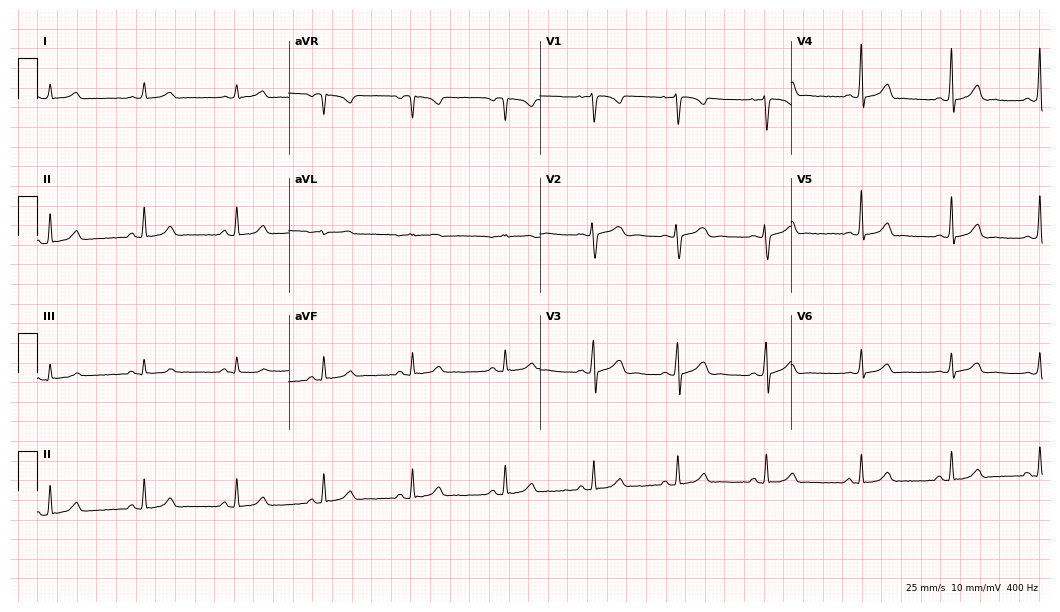
12-lead ECG from a 23-year-old female. No first-degree AV block, right bundle branch block, left bundle branch block, sinus bradycardia, atrial fibrillation or sinus tachycardia recorded for this tracing. Only these six findings were labelled.